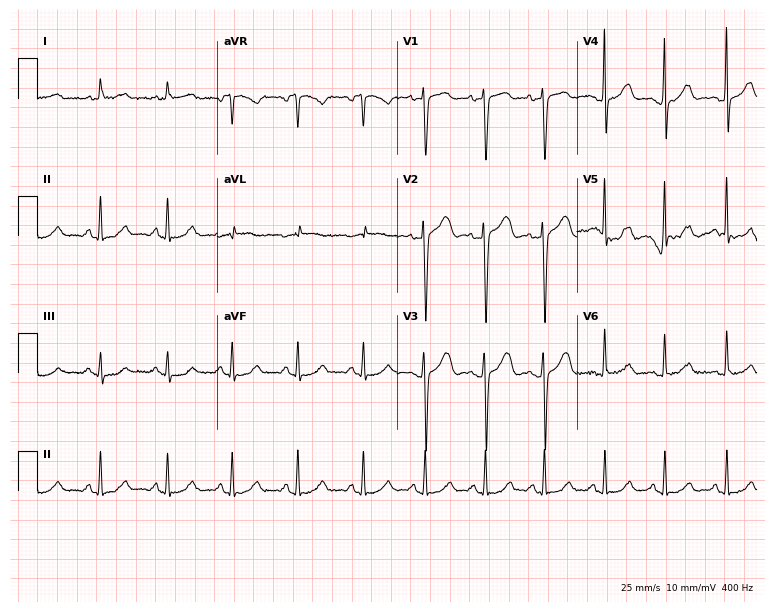
Standard 12-lead ECG recorded from a 42-year-old woman (7.3-second recording at 400 Hz). Read as a normal ECG.